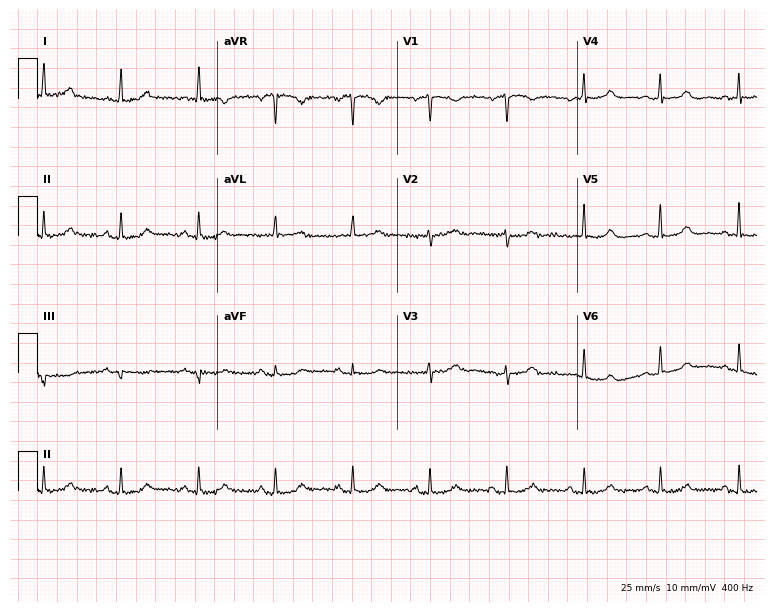
12-lead ECG from a female, 76 years old. Screened for six findings — first-degree AV block, right bundle branch block, left bundle branch block, sinus bradycardia, atrial fibrillation, sinus tachycardia — none is recorded.